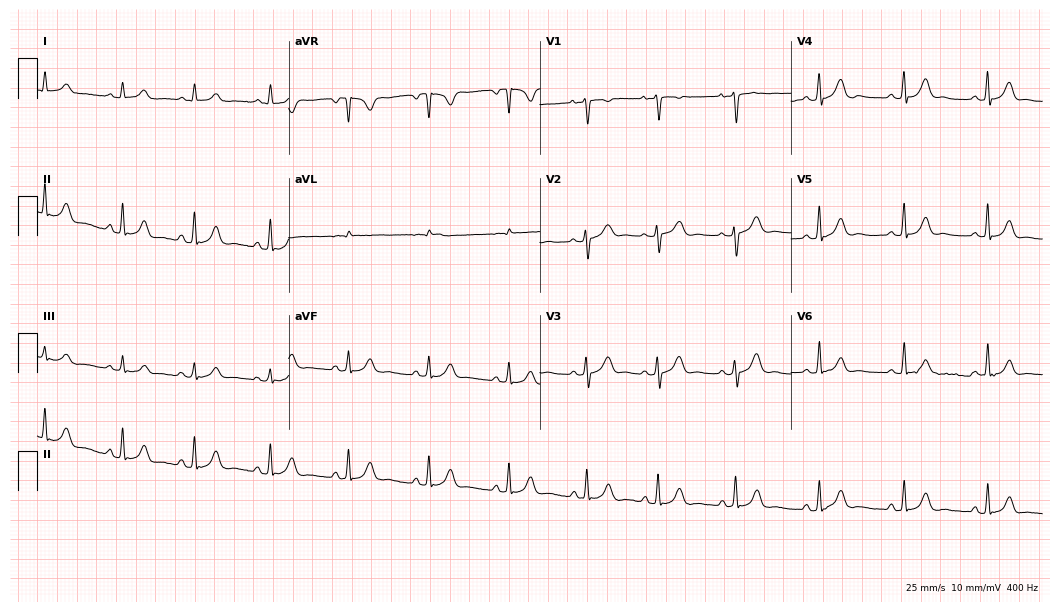
Electrocardiogram, a 21-year-old woman. Overall reading on record: normal ECG.